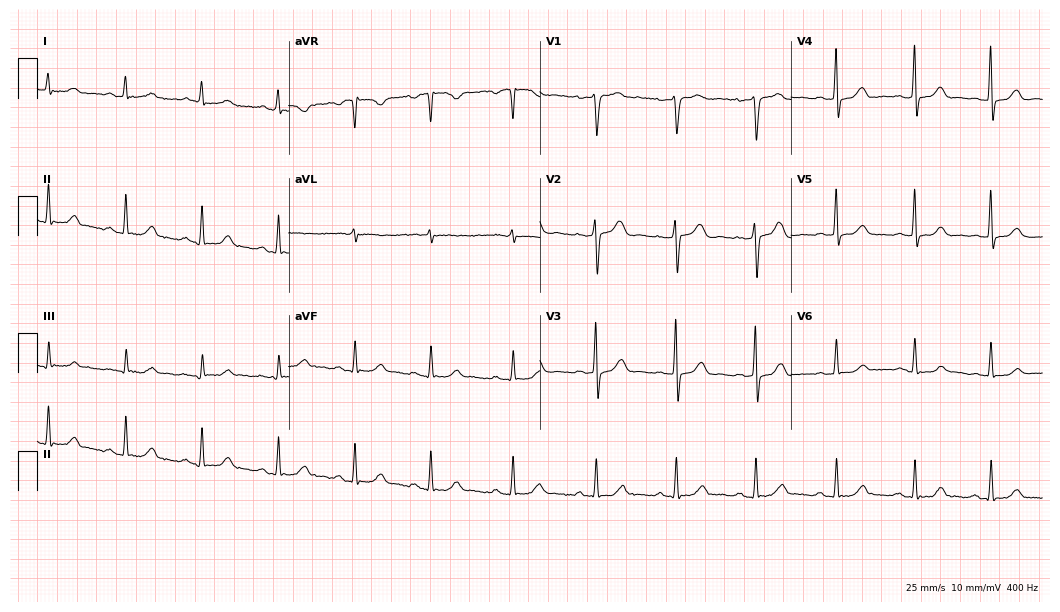
ECG (10.2-second recording at 400 Hz) — a 44-year-old woman. Labelled as a normal ECG.